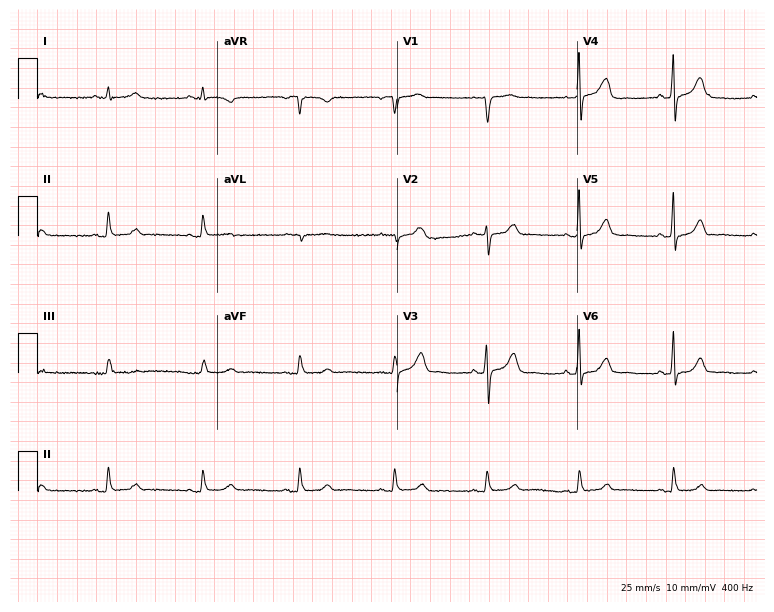
12-lead ECG (7.3-second recording at 400 Hz) from a female patient, 74 years old. Labelled as a normal ECG.